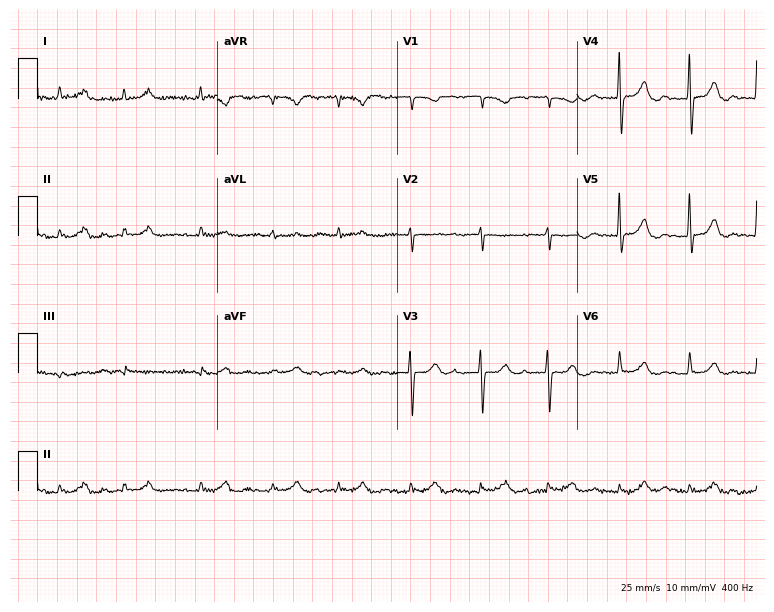
12-lead ECG from an 81-year-old female patient. No first-degree AV block, right bundle branch block, left bundle branch block, sinus bradycardia, atrial fibrillation or sinus tachycardia recorded for this tracing. Findings outside these six are not listed.